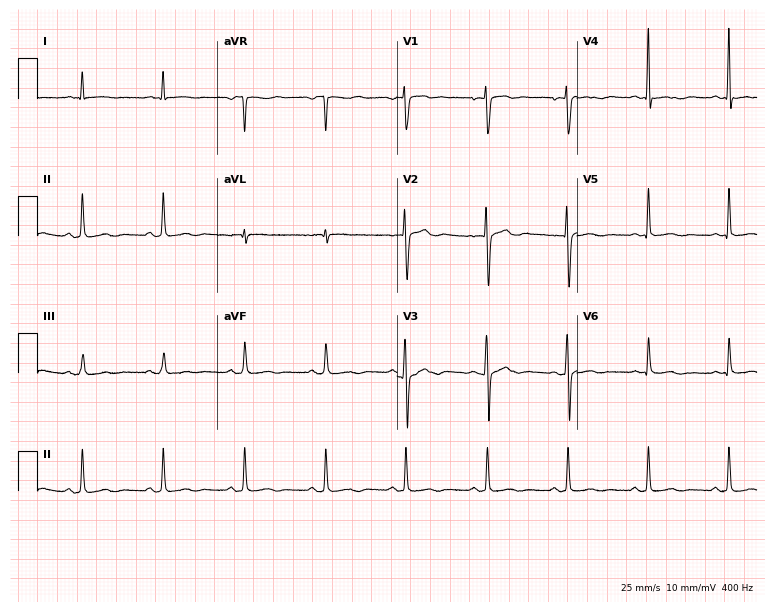
12-lead ECG (7.3-second recording at 400 Hz) from a 19-year-old male. Screened for six findings — first-degree AV block, right bundle branch block, left bundle branch block, sinus bradycardia, atrial fibrillation, sinus tachycardia — none is recorded.